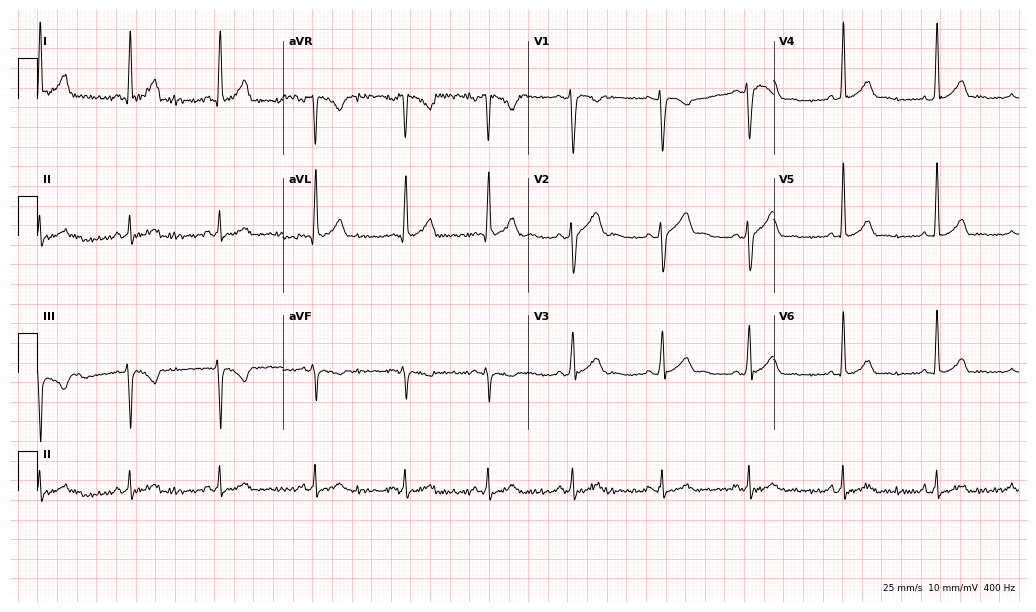
12-lead ECG from a male, 34 years old. No first-degree AV block, right bundle branch block, left bundle branch block, sinus bradycardia, atrial fibrillation or sinus tachycardia recorded for this tracing. Other findings, if any, are not listed.